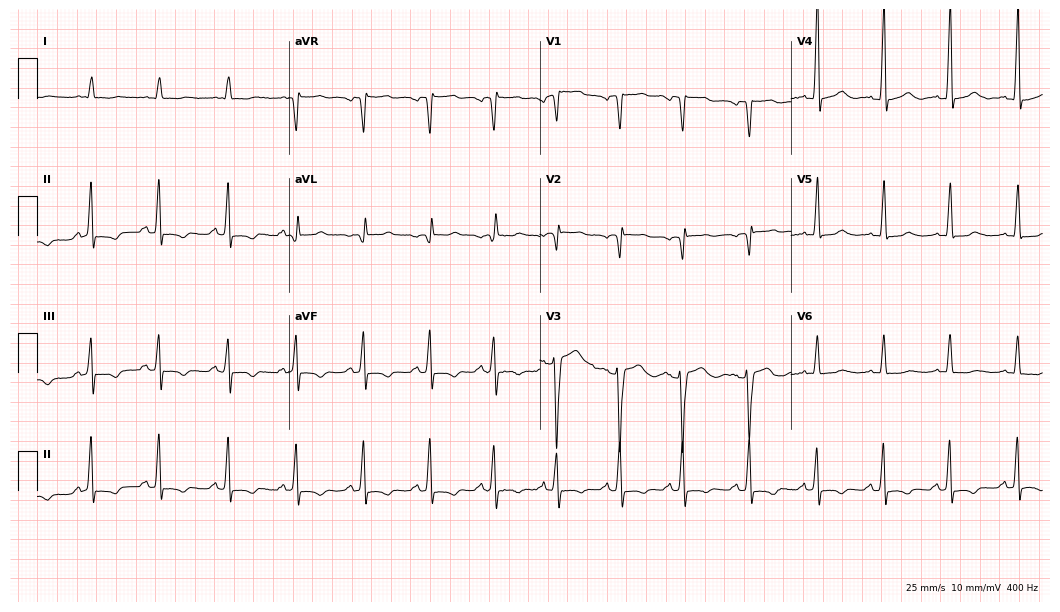
Standard 12-lead ECG recorded from a 65-year-old female patient. None of these six findings is recorded: first-degree AV block, right bundle branch block (RBBB), left bundle branch block (LBBB), sinus bradycardia, atrial fibrillation (AF), sinus tachycardia.